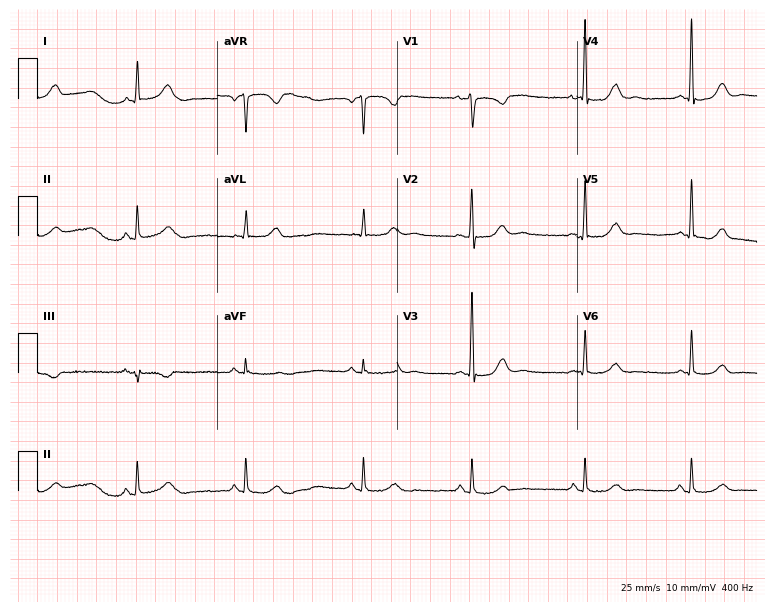
Standard 12-lead ECG recorded from a 46-year-old woman. None of these six findings is recorded: first-degree AV block, right bundle branch block, left bundle branch block, sinus bradycardia, atrial fibrillation, sinus tachycardia. Findings outside these six are not listed.